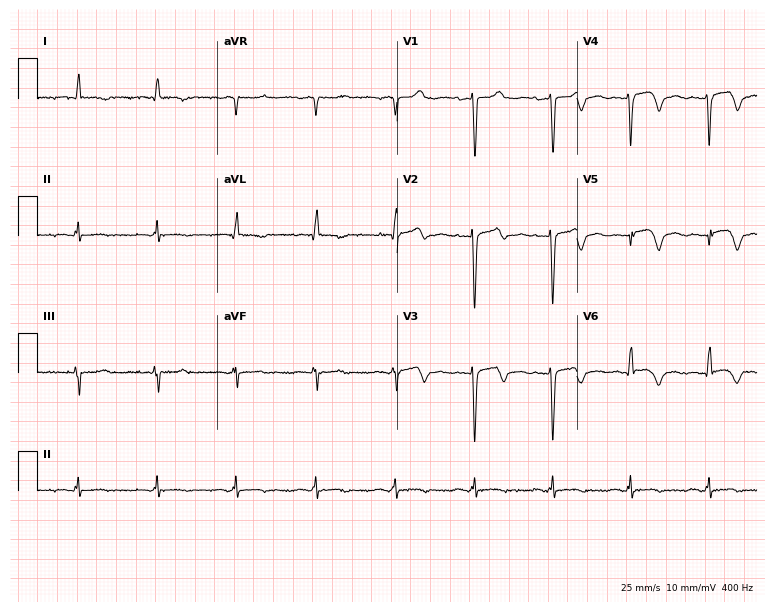
12-lead ECG (7.3-second recording at 400 Hz) from a 66-year-old female patient. Screened for six findings — first-degree AV block, right bundle branch block (RBBB), left bundle branch block (LBBB), sinus bradycardia, atrial fibrillation (AF), sinus tachycardia — none is recorded.